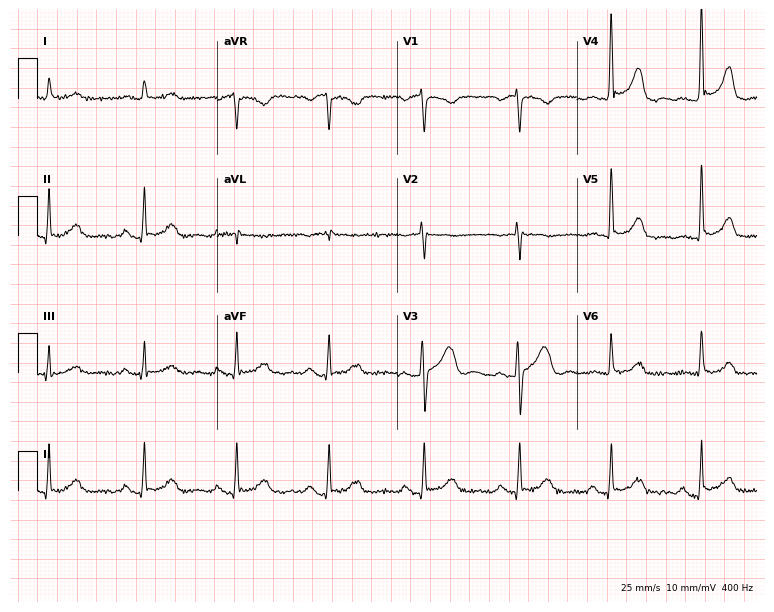
12-lead ECG from a male, 77 years old (7.3-second recording at 400 Hz). No first-degree AV block, right bundle branch block, left bundle branch block, sinus bradycardia, atrial fibrillation or sinus tachycardia recorded for this tracing. Other findings, if any, are not listed.